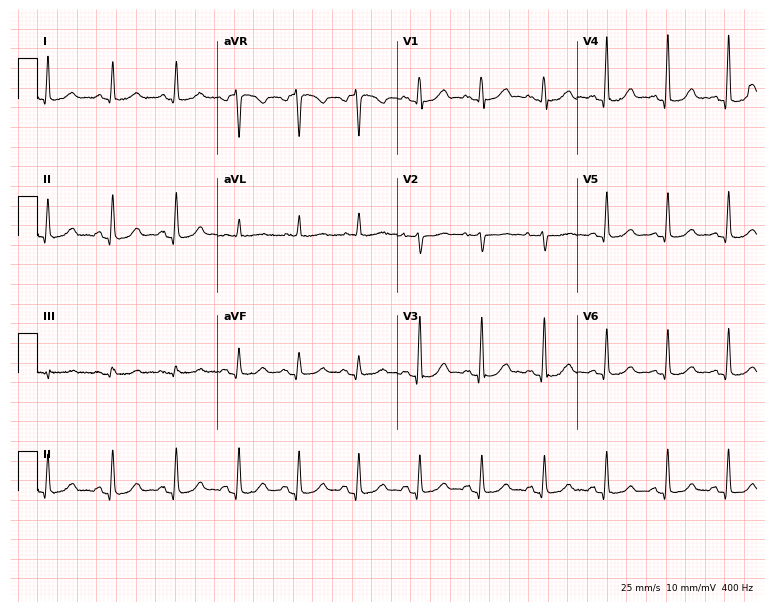
Electrocardiogram (7.3-second recording at 400 Hz), a female, 74 years old. Overall reading on record: normal ECG.